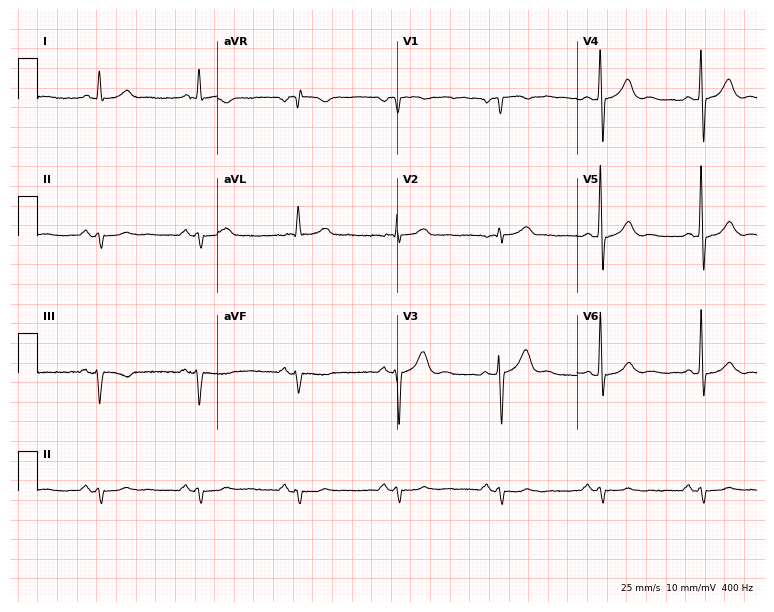
Standard 12-lead ECG recorded from a male, 71 years old. None of these six findings is recorded: first-degree AV block, right bundle branch block (RBBB), left bundle branch block (LBBB), sinus bradycardia, atrial fibrillation (AF), sinus tachycardia. Findings outside these six are not listed.